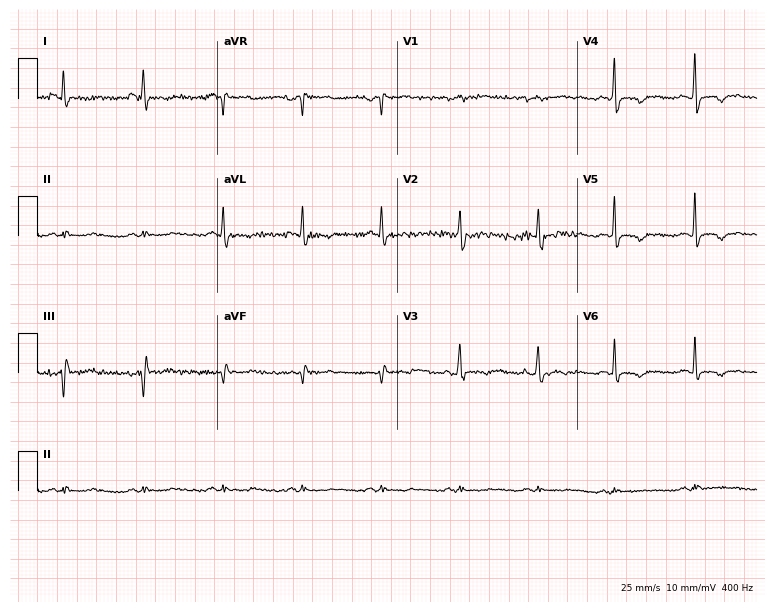
12-lead ECG from a male patient, 63 years old. Screened for six findings — first-degree AV block, right bundle branch block, left bundle branch block, sinus bradycardia, atrial fibrillation, sinus tachycardia — none is recorded. Other findings, if any, are not listed.